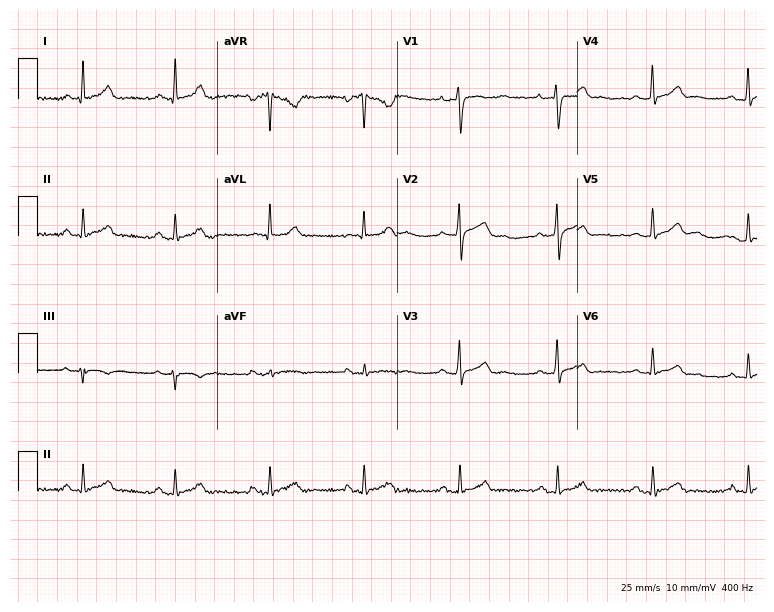
Electrocardiogram, a man, 38 years old. Overall reading on record: normal ECG.